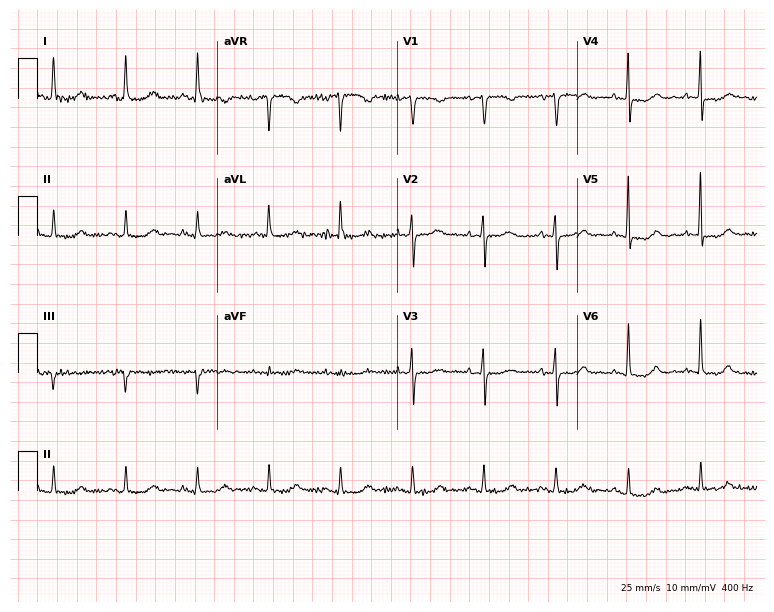
Electrocardiogram (7.3-second recording at 400 Hz), a female patient, 67 years old. Of the six screened findings (first-degree AV block, right bundle branch block, left bundle branch block, sinus bradycardia, atrial fibrillation, sinus tachycardia), none is recorded.